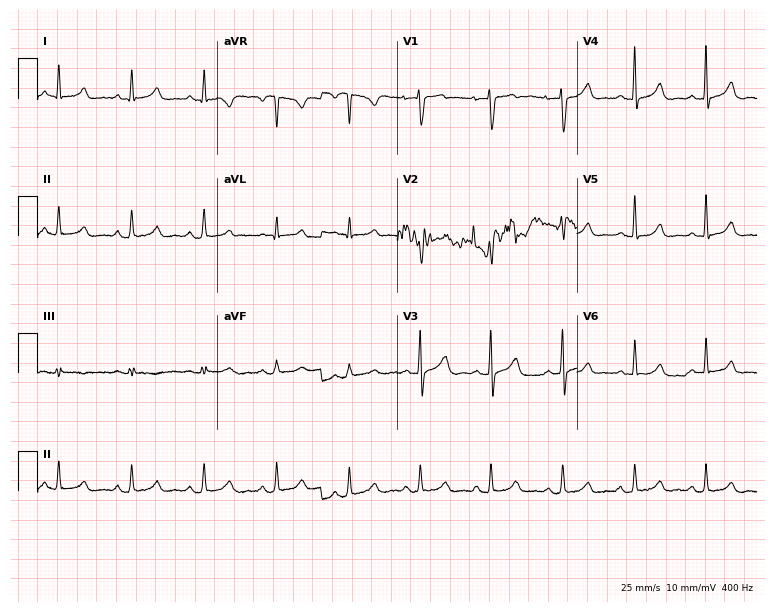
Electrocardiogram, a 42-year-old female patient. Of the six screened findings (first-degree AV block, right bundle branch block, left bundle branch block, sinus bradycardia, atrial fibrillation, sinus tachycardia), none is recorded.